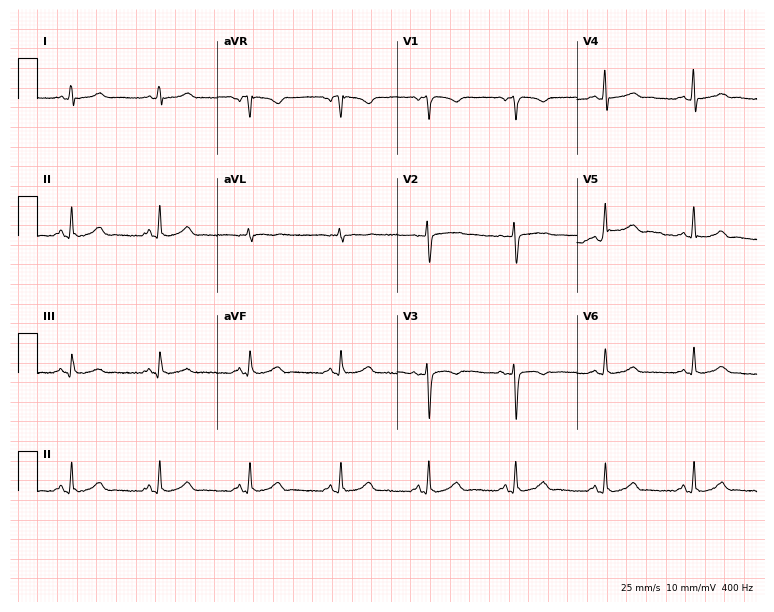
ECG (7.3-second recording at 400 Hz) — a female, 33 years old. Screened for six findings — first-degree AV block, right bundle branch block (RBBB), left bundle branch block (LBBB), sinus bradycardia, atrial fibrillation (AF), sinus tachycardia — none is recorded.